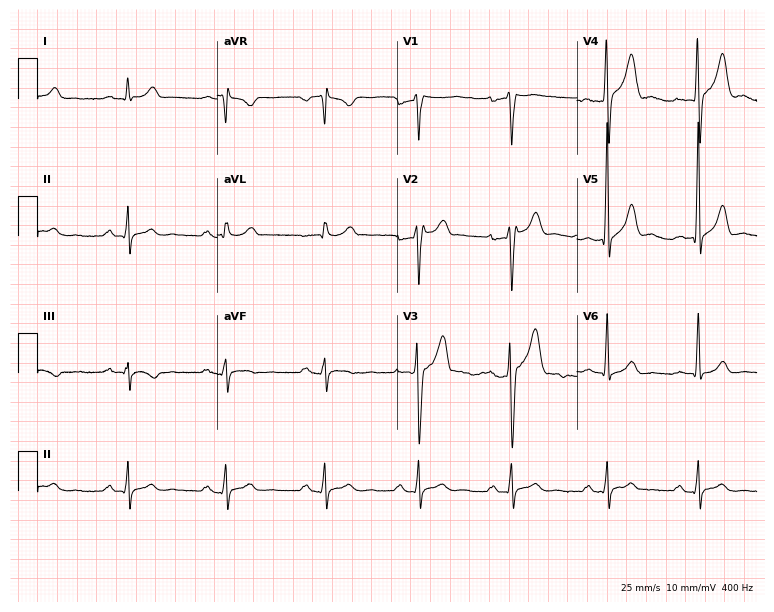
Electrocardiogram, a 53-year-old male. Of the six screened findings (first-degree AV block, right bundle branch block (RBBB), left bundle branch block (LBBB), sinus bradycardia, atrial fibrillation (AF), sinus tachycardia), none is recorded.